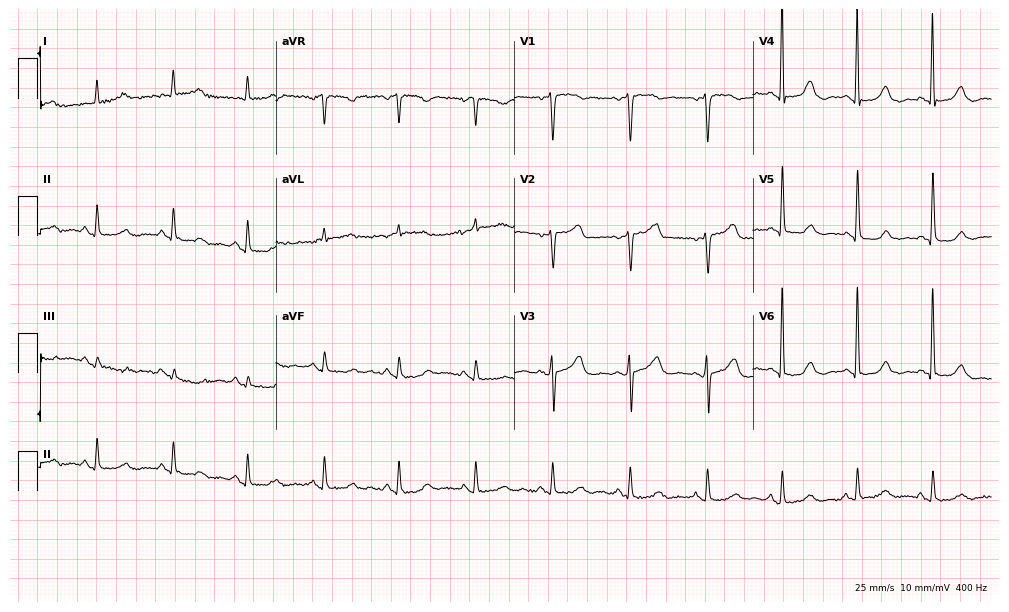
Resting 12-lead electrocardiogram. Patient: a female, 72 years old. Read as a normal ECG.